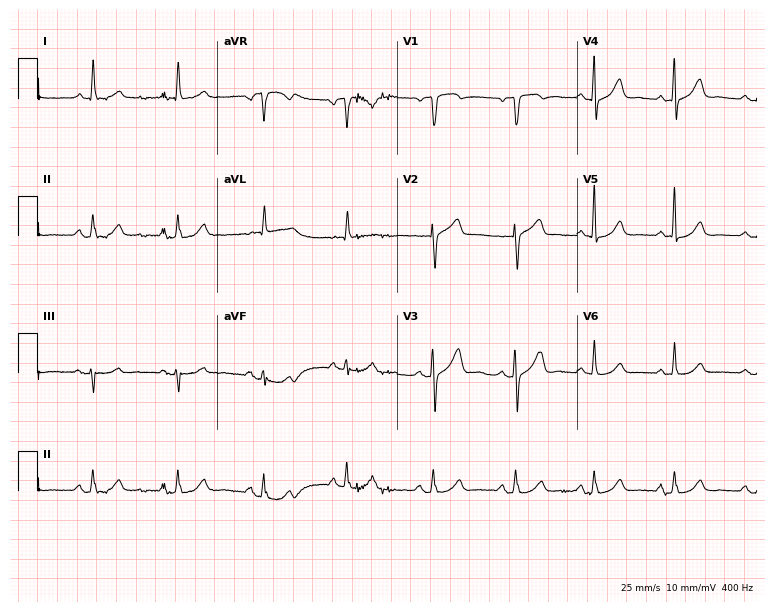
12-lead ECG from a man, 61 years old. Labelled as a normal ECG.